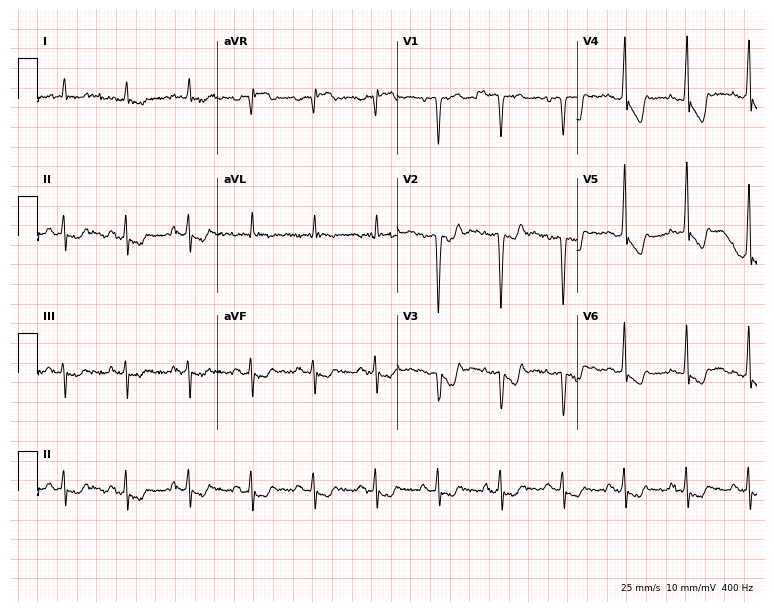
12-lead ECG (7.3-second recording at 400 Hz) from a female patient, 75 years old. Screened for six findings — first-degree AV block, right bundle branch block, left bundle branch block, sinus bradycardia, atrial fibrillation, sinus tachycardia — none is recorded.